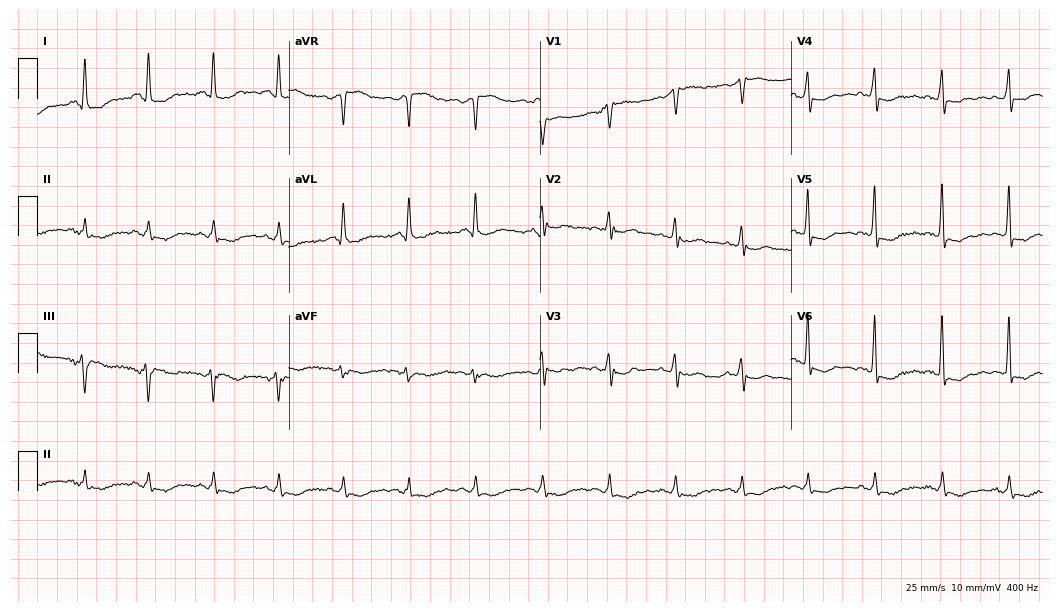
12-lead ECG from a female patient, 73 years old. Screened for six findings — first-degree AV block, right bundle branch block, left bundle branch block, sinus bradycardia, atrial fibrillation, sinus tachycardia — none is recorded. Only these six findings were labelled.